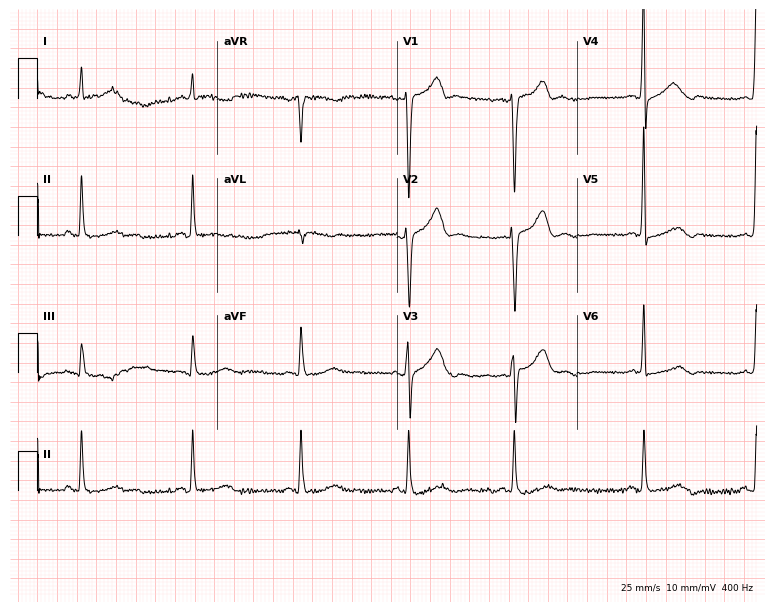
ECG — a 76-year-old man. Screened for six findings — first-degree AV block, right bundle branch block (RBBB), left bundle branch block (LBBB), sinus bradycardia, atrial fibrillation (AF), sinus tachycardia — none is recorded.